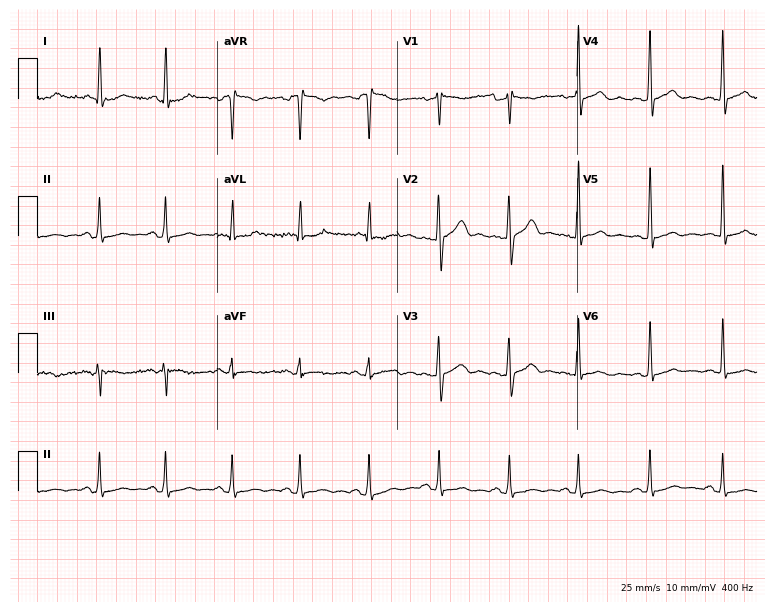
Resting 12-lead electrocardiogram (7.3-second recording at 400 Hz). Patient: a woman, 40 years old. None of these six findings is recorded: first-degree AV block, right bundle branch block, left bundle branch block, sinus bradycardia, atrial fibrillation, sinus tachycardia.